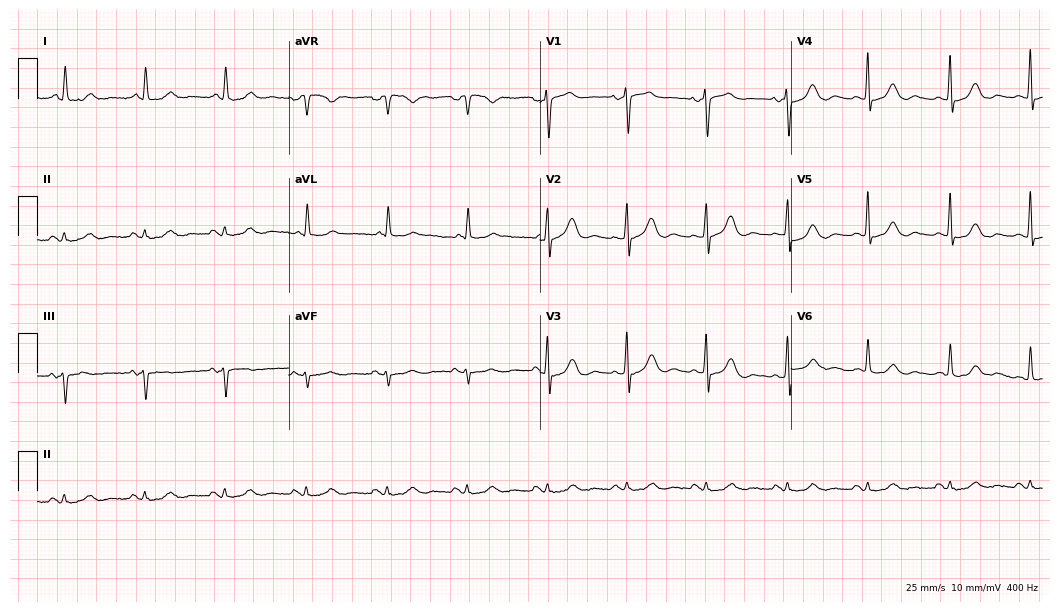
12-lead ECG (10.2-second recording at 400 Hz) from a woman, 83 years old. Labelled as a normal ECG.